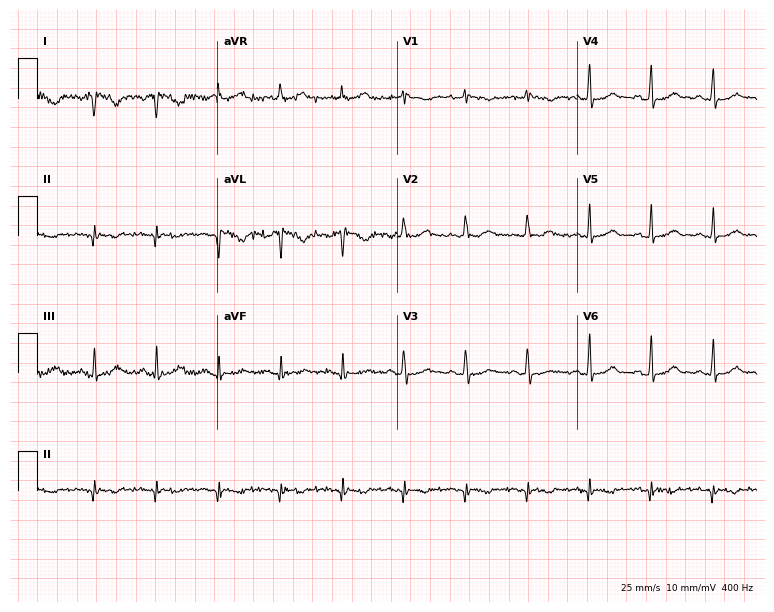
Resting 12-lead electrocardiogram. Patient: a woman, 51 years old. None of these six findings is recorded: first-degree AV block, right bundle branch block, left bundle branch block, sinus bradycardia, atrial fibrillation, sinus tachycardia. Other findings, if any, are not listed.